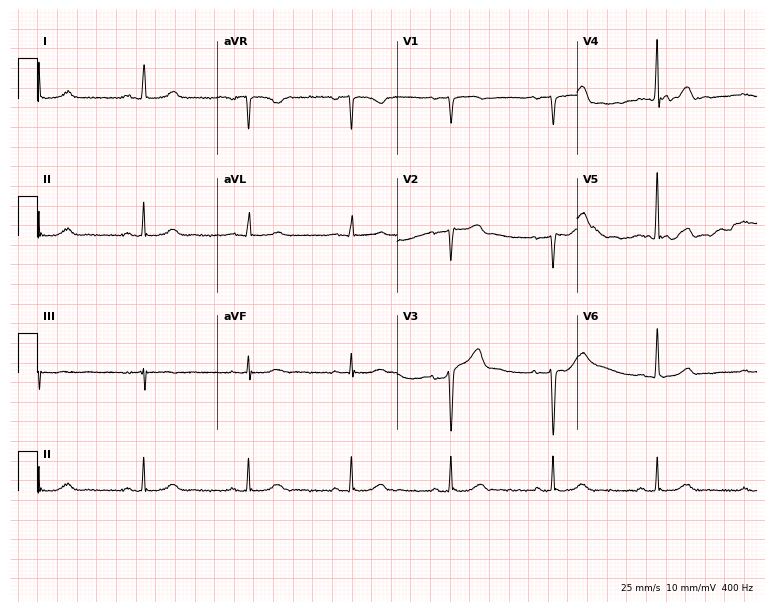
12-lead ECG from a 52-year-old female patient. Screened for six findings — first-degree AV block, right bundle branch block (RBBB), left bundle branch block (LBBB), sinus bradycardia, atrial fibrillation (AF), sinus tachycardia — none is recorded.